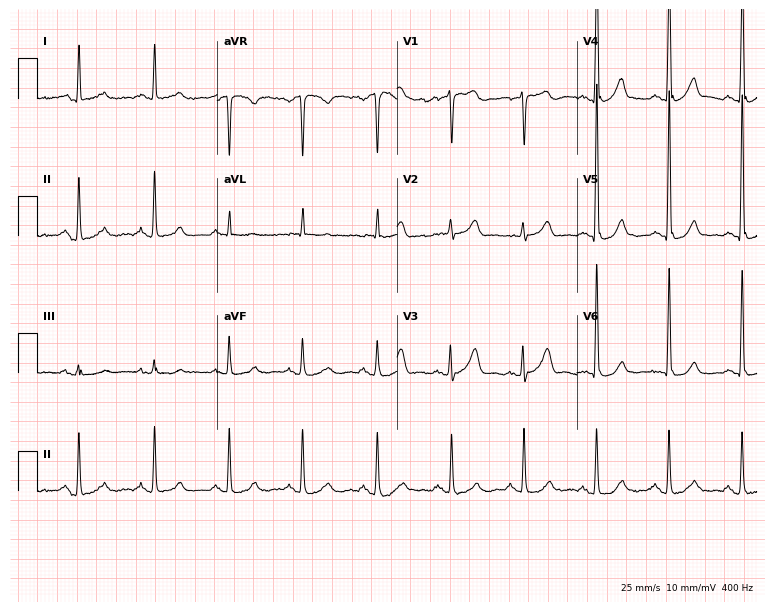
ECG (7.3-second recording at 400 Hz) — a 71-year-old male patient. Screened for six findings — first-degree AV block, right bundle branch block, left bundle branch block, sinus bradycardia, atrial fibrillation, sinus tachycardia — none is recorded.